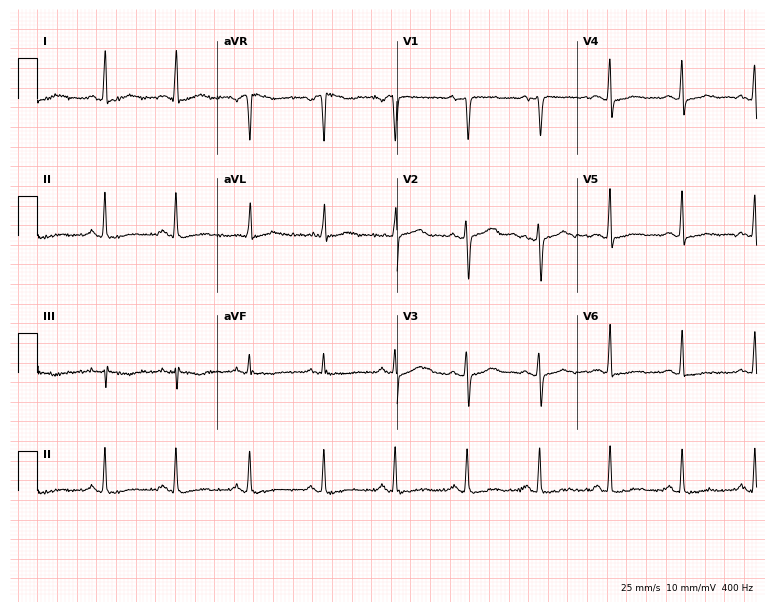
ECG — a 56-year-old woman. Screened for six findings — first-degree AV block, right bundle branch block (RBBB), left bundle branch block (LBBB), sinus bradycardia, atrial fibrillation (AF), sinus tachycardia — none is recorded. Other findings, if any, are not listed.